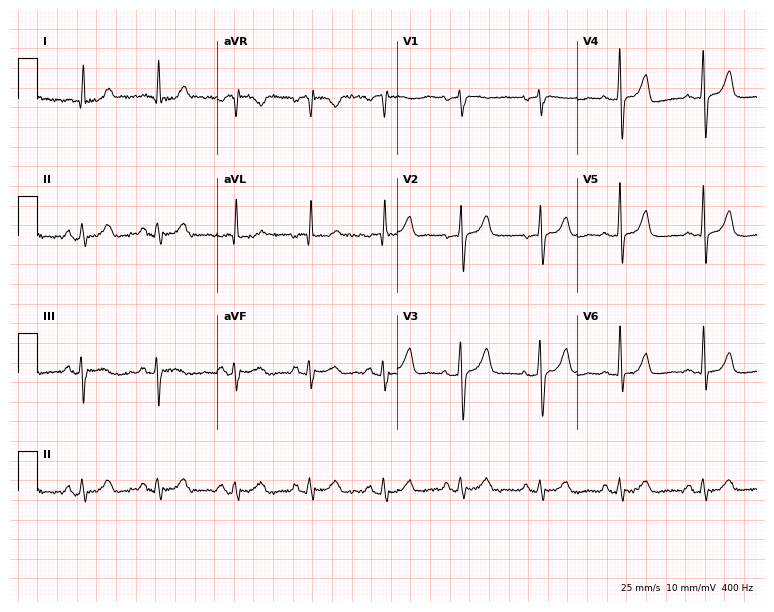
Resting 12-lead electrocardiogram. Patient: a woman, 70 years old. None of these six findings is recorded: first-degree AV block, right bundle branch block, left bundle branch block, sinus bradycardia, atrial fibrillation, sinus tachycardia.